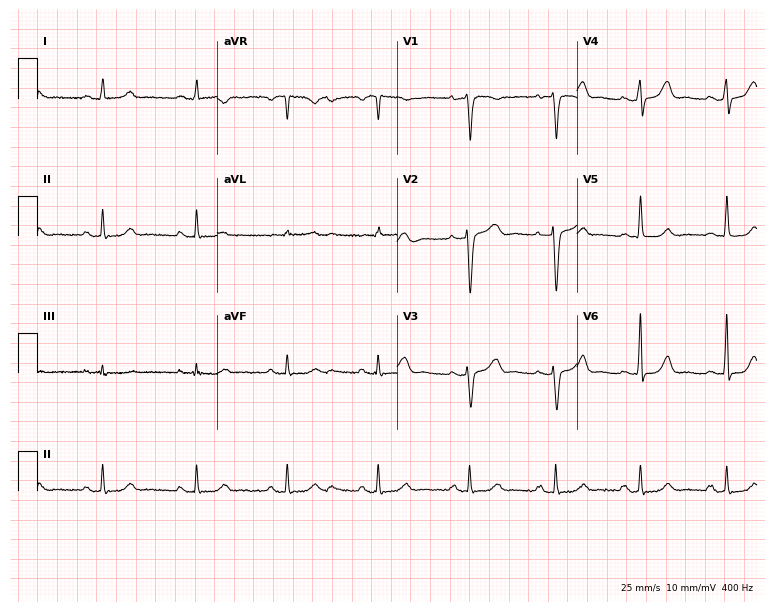
Standard 12-lead ECG recorded from a woman, 46 years old. Read as a normal ECG.